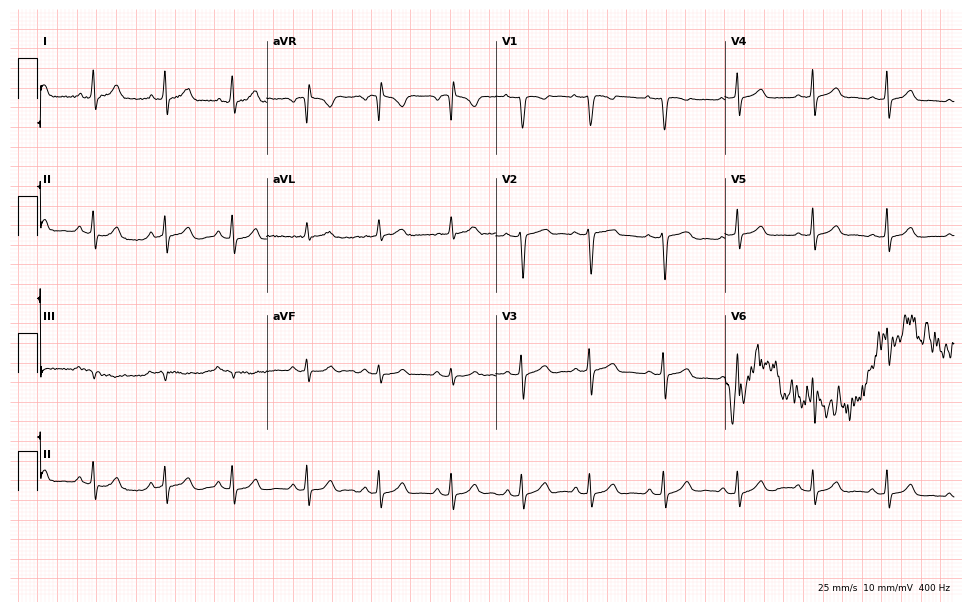
Resting 12-lead electrocardiogram (9.3-second recording at 400 Hz). Patient: a woman, 28 years old. Read as a normal ECG.